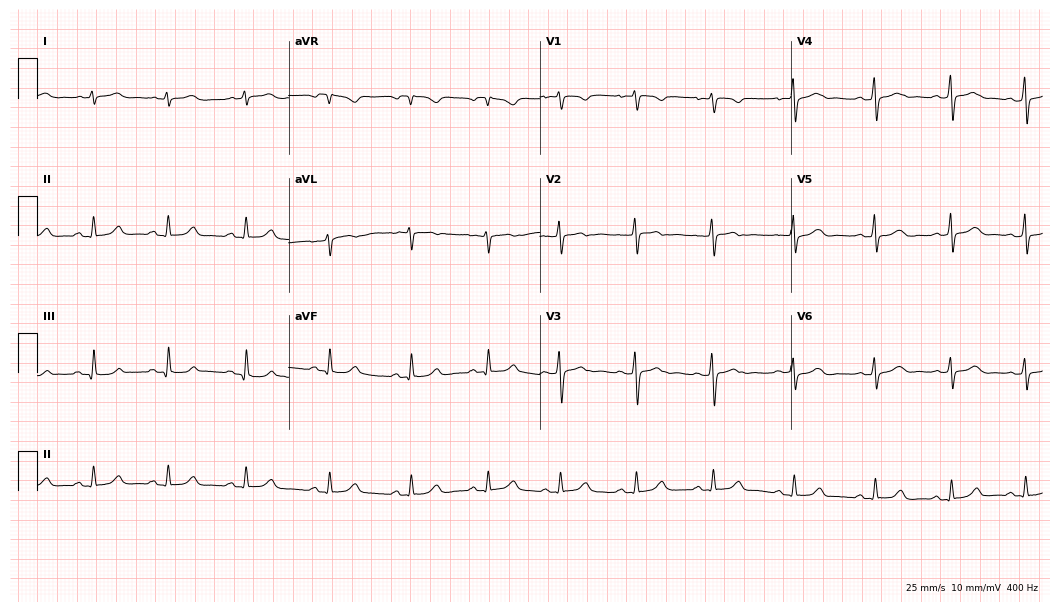
Resting 12-lead electrocardiogram. Patient: a 26-year-old woman. Read as a normal ECG.